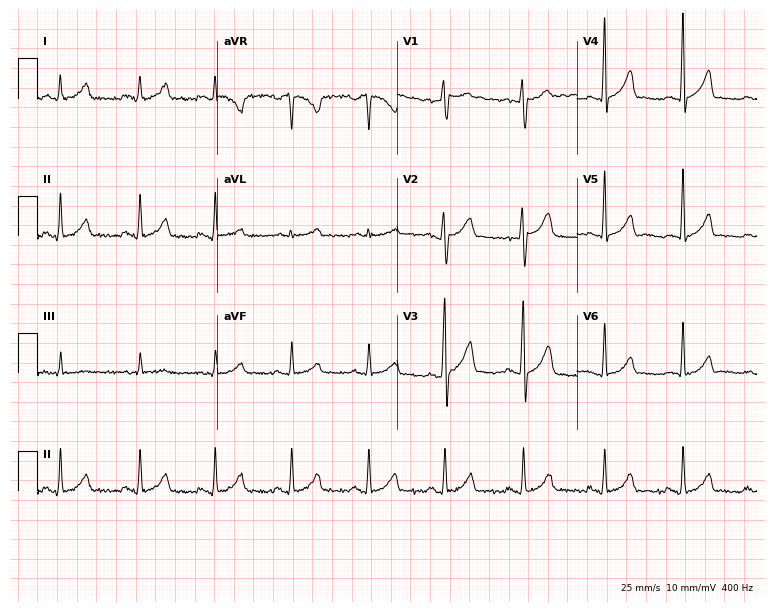
Resting 12-lead electrocardiogram (7.3-second recording at 400 Hz). Patient: a 26-year-old male. None of these six findings is recorded: first-degree AV block, right bundle branch block, left bundle branch block, sinus bradycardia, atrial fibrillation, sinus tachycardia.